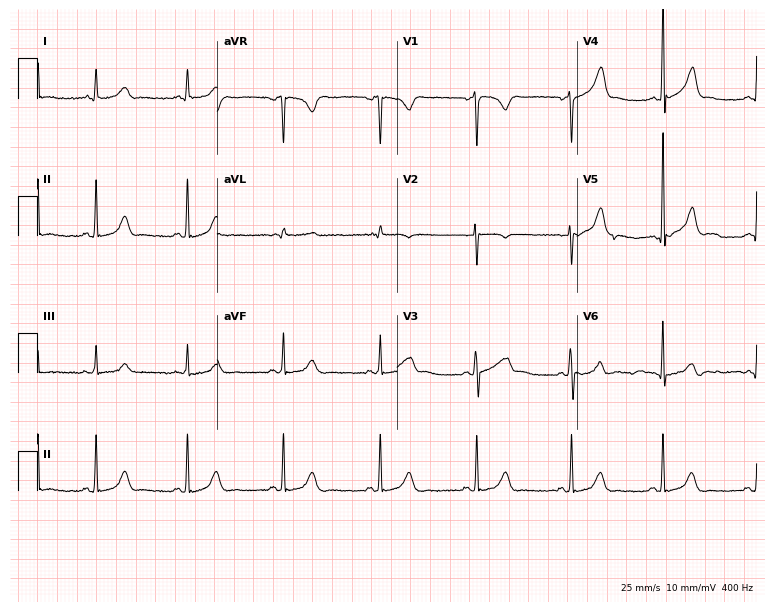
12-lead ECG from a 27-year-old female. Recorded interpretation: within normal limits.